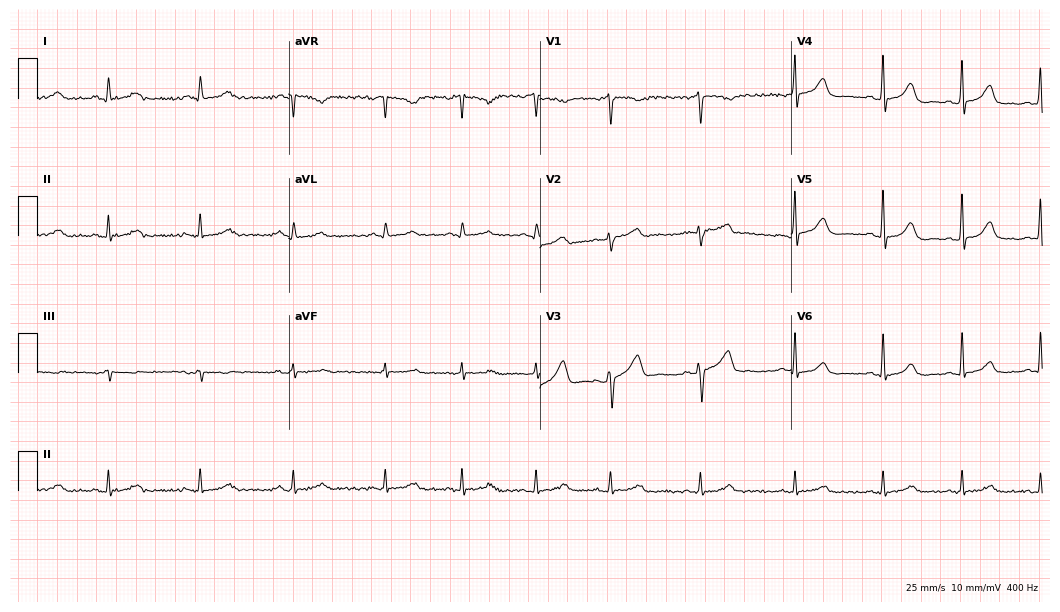
ECG (10.2-second recording at 400 Hz) — a 57-year-old woman. Labelled as a normal ECG.